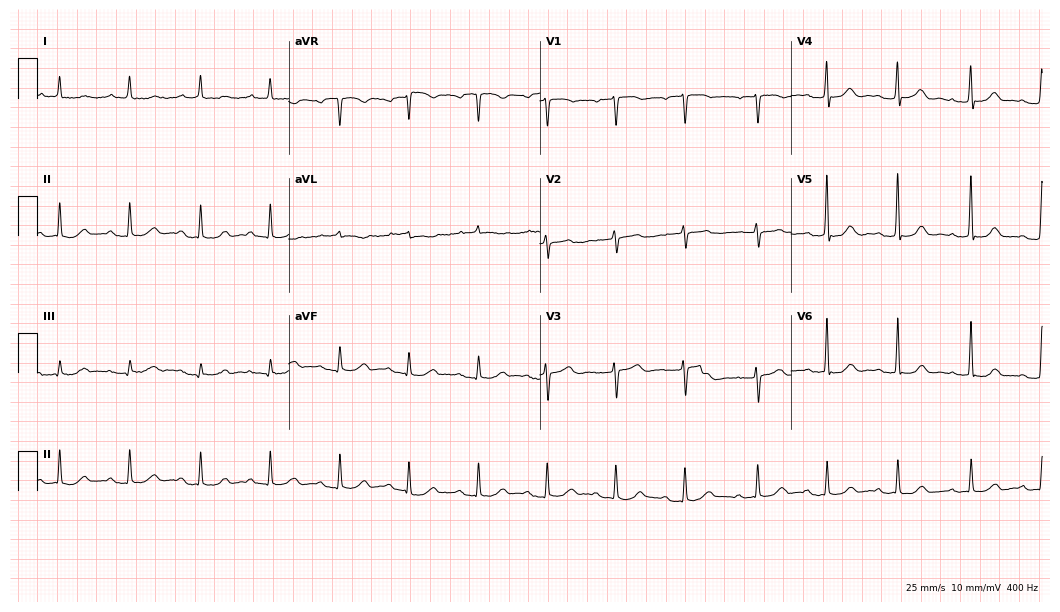
12-lead ECG from a woman, 71 years old. Recorded interpretation: within normal limits.